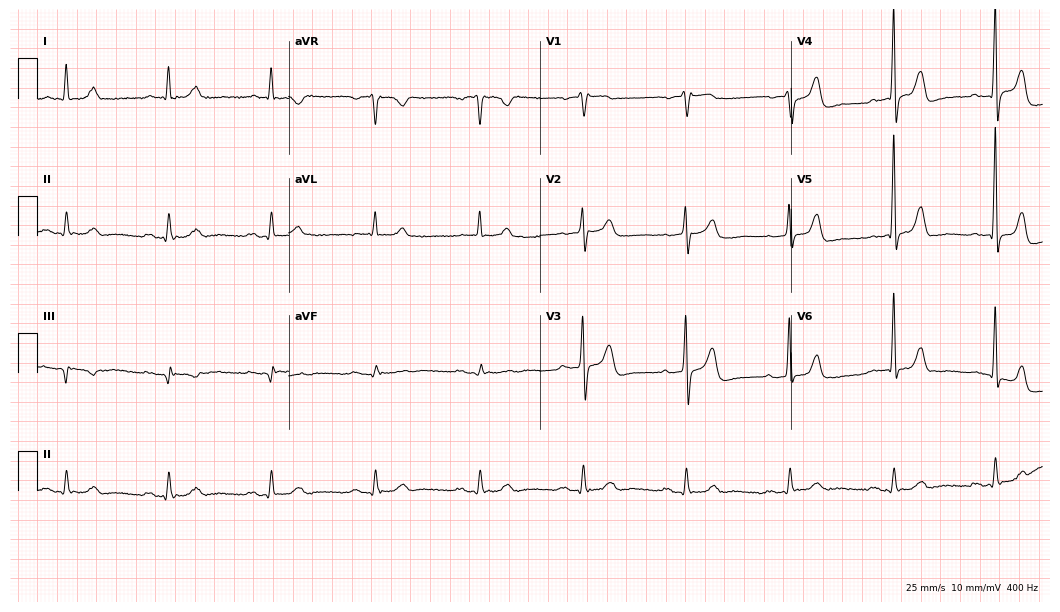
Resting 12-lead electrocardiogram (10.2-second recording at 400 Hz). Patient: a male, 81 years old. None of these six findings is recorded: first-degree AV block, right bundle branch block (RBBB), left bundle branch block (LBBB), sinus bradycardia, atrial fibrillation (AF), sinus tachycardia.